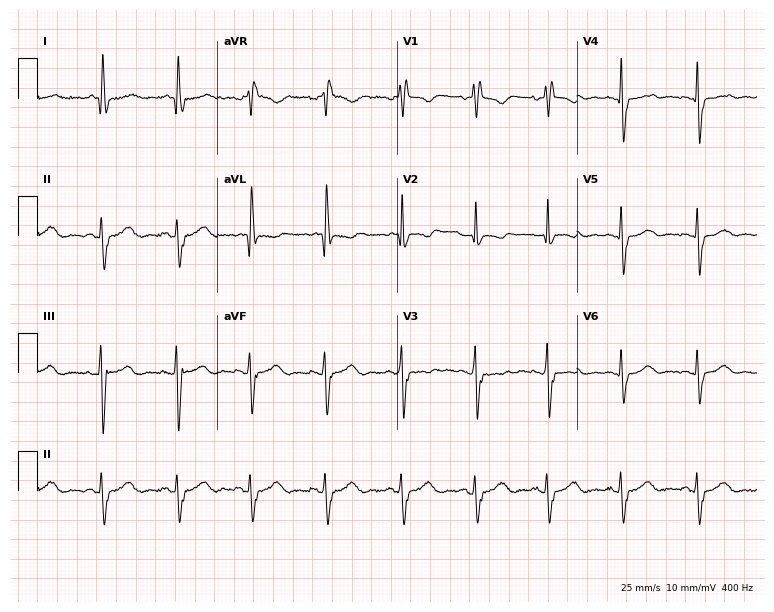
Electrocardiogram (7.3-second recording at 400 Hz), a female, 74 years old. Interpretation includes right bundle branch block.